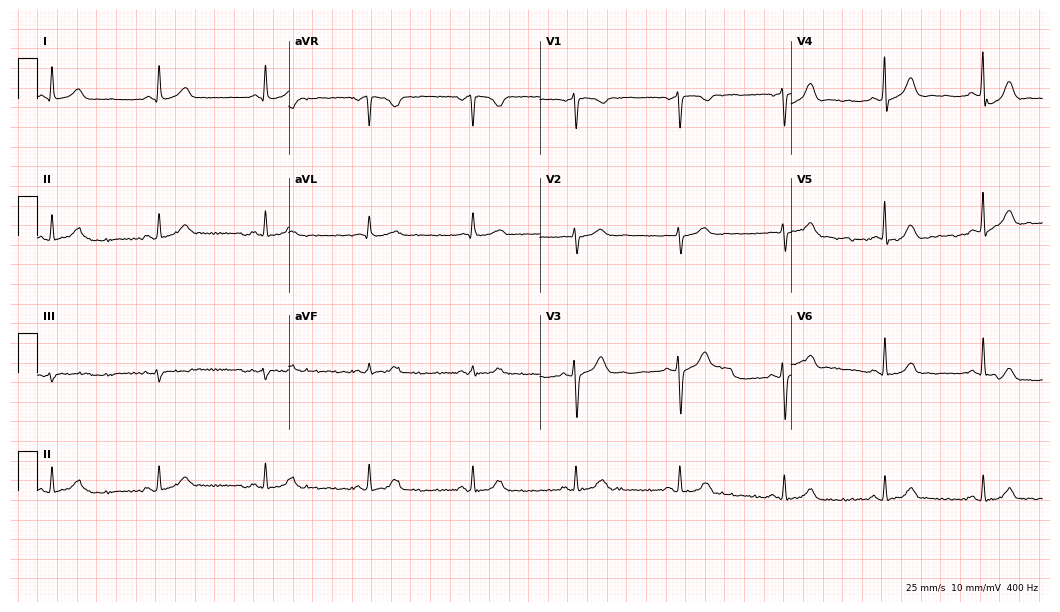
Electrocardiogram, a male, 50 years old. Overall reading on record: normal ECG.